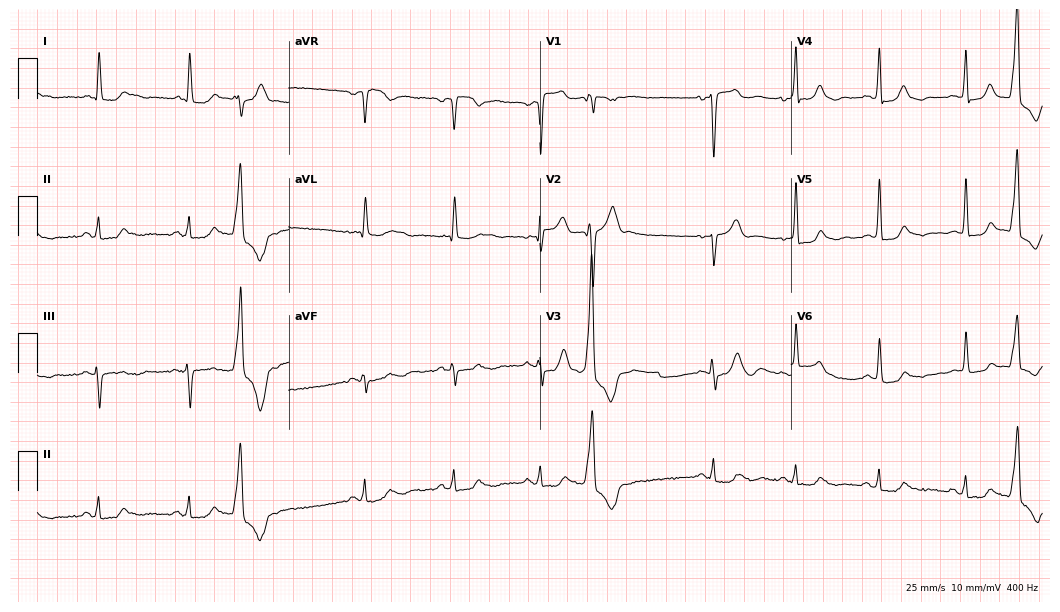
Electrocardiogram, a male, 70 years old. Of the six screened findings (first-degree AV block, right bundle branch block (RBBB), left bundle branch block (LBBB), sinus bradycardia, atrial fibrillation (AF), sinus tachycardia), none is recorded. Only these six findings were labelled.